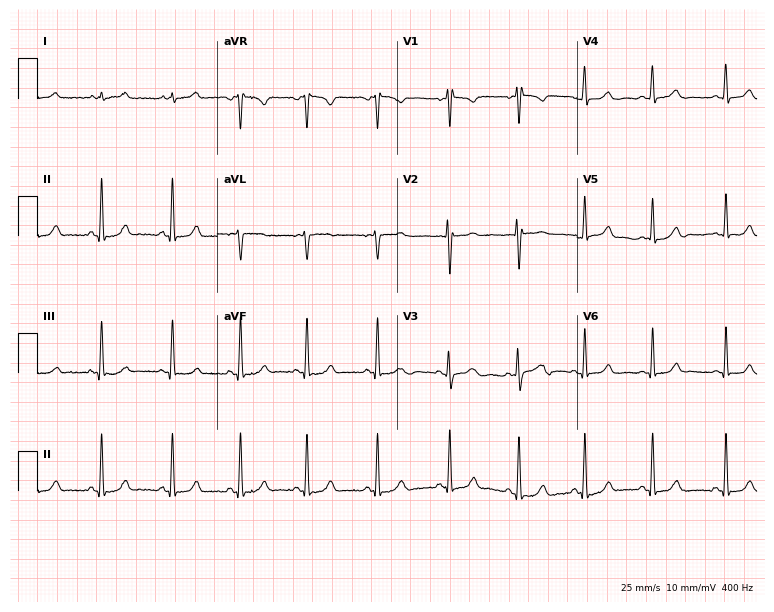
Resting 12-lead electrocardiogram. Patient: a woman, 22 years old. Read as a normal ECG.